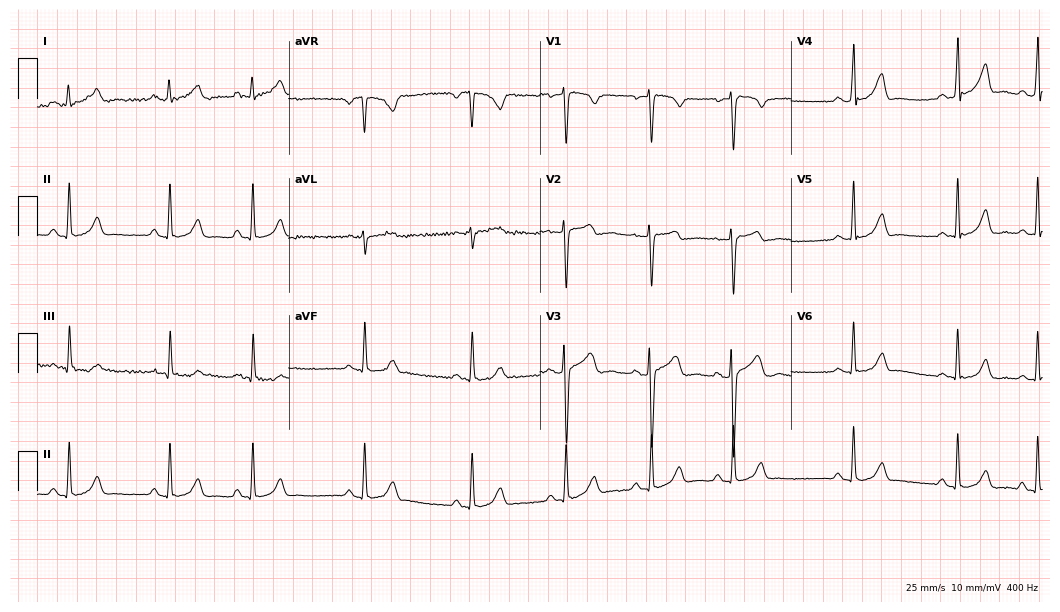
12-lead ECG from a female patient, 31 years old. Labelled as a normal ECG.